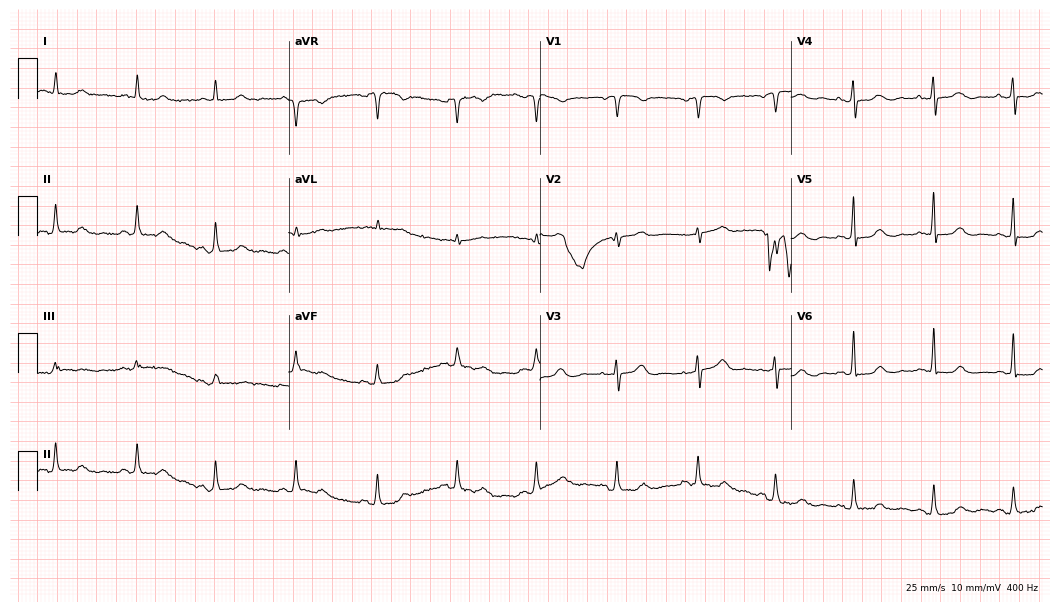
Electrocardiogram, a 75-year-old female. Of the six screened findings (first-degree AV block, right bundle branch block (RBBB), left bundle branch block (LBBB), sinus bradycardia, atrial fibrillation (AF), sinus tachycardia), none is recorded.